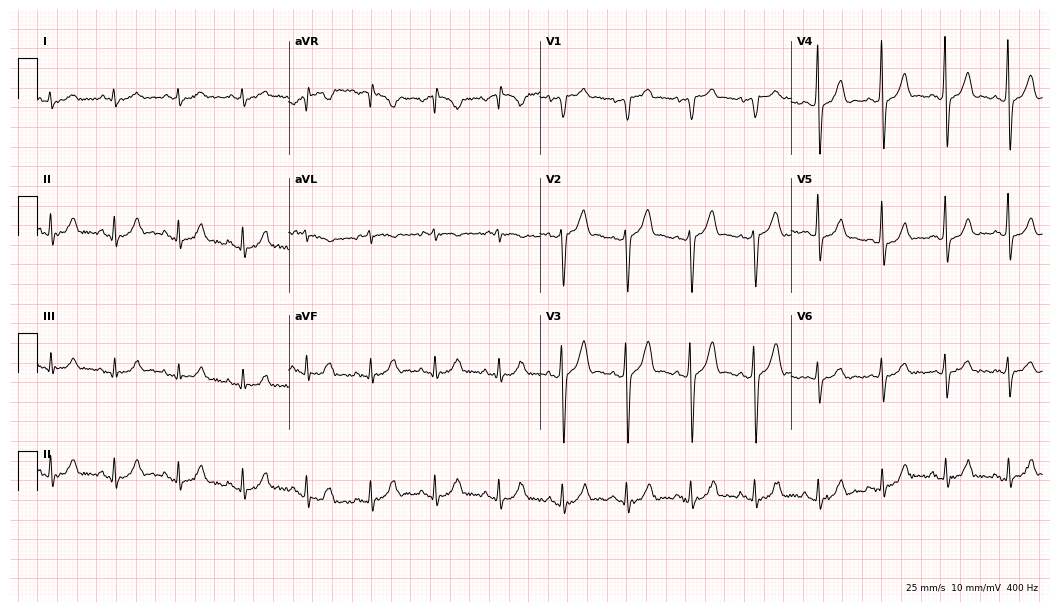
ECG (10.2-second recording at 400 Hz) — a male, 72 years old. Screened for six findings — first-degree AV block, right bundle branch block, left bundle branch block, sinus bradycardia, atrial fibrillation, sinus tachycardia — none is recorded.